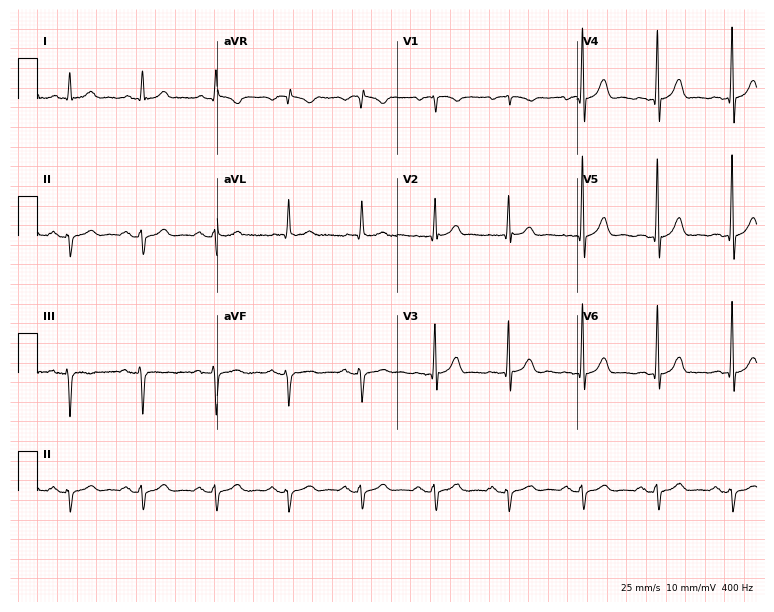
Resting 12-lead electrocardiogram (7.3-second recording at 400 Hz). Patient: a female, 77 years old. None of these six findings is recorded: first-degree AV block, right bundle branch block (RBBB), left bundle branch block (LBBB), sinus bradycardia, atrial fibrillation (AF), sinus tachycardia.